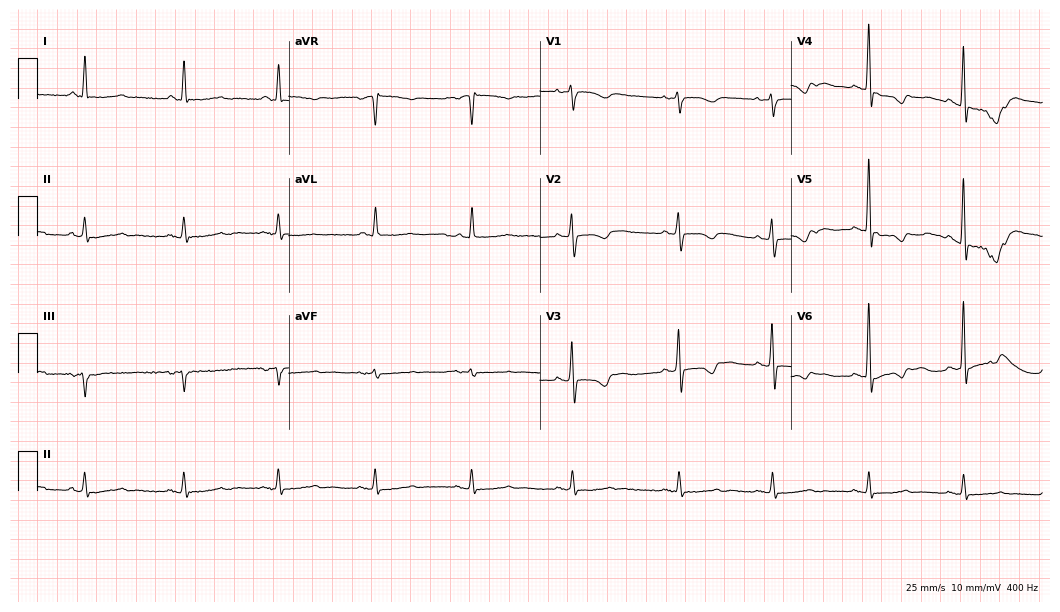
Electrocardiogram (10.2-second recording at 400 Hz), a woman, 80 years old. Of the six screened findings (first-degree AV block, right bundle branch block, left bundle branch block, sinus bradycardia, atrial fibrillation, sinus tachycardia), none is recorded. Only these six findings were labelled.